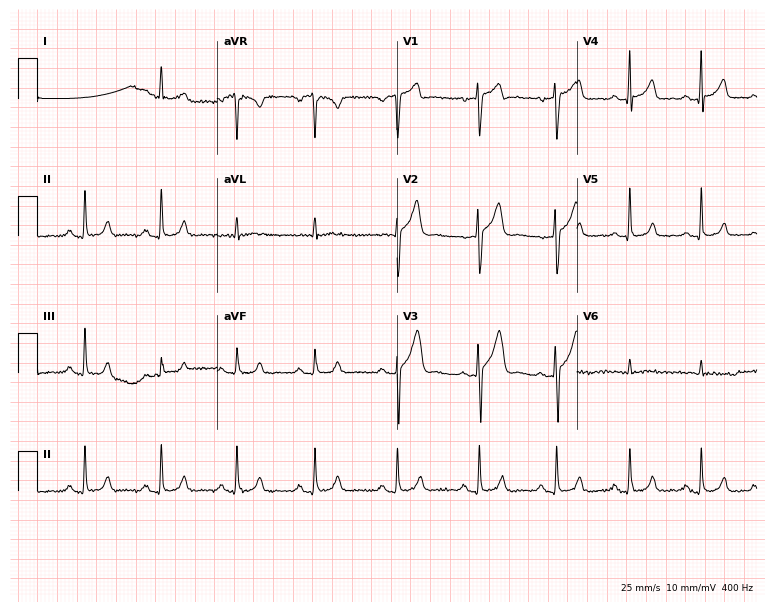
Electrocardiogram (7.3-second recording at 400 Hz), a male patient, 63 years old. Overall reading on record: normal ECG.